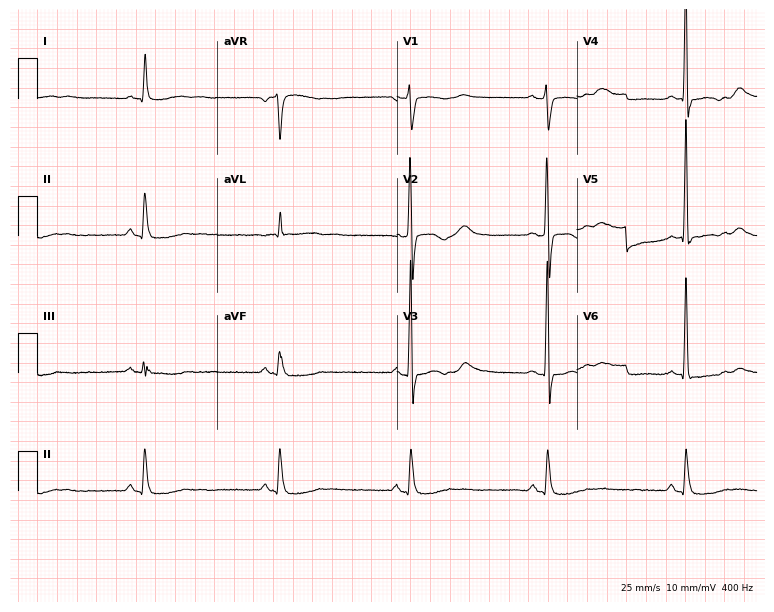
Resting 12-lead electrocardiogram. Patient: a female, 77 years old. The tracing shows sinus bradycardia (a sinus rate of 50 beats per minute or less).